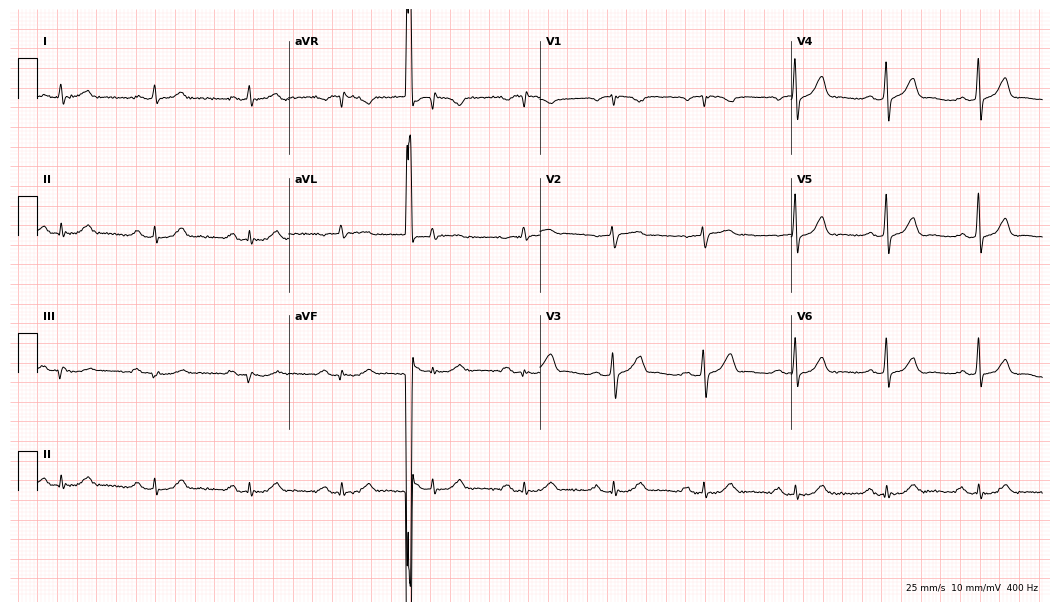
ECG — a man, 73 years old. Findings include first-degree AV block.